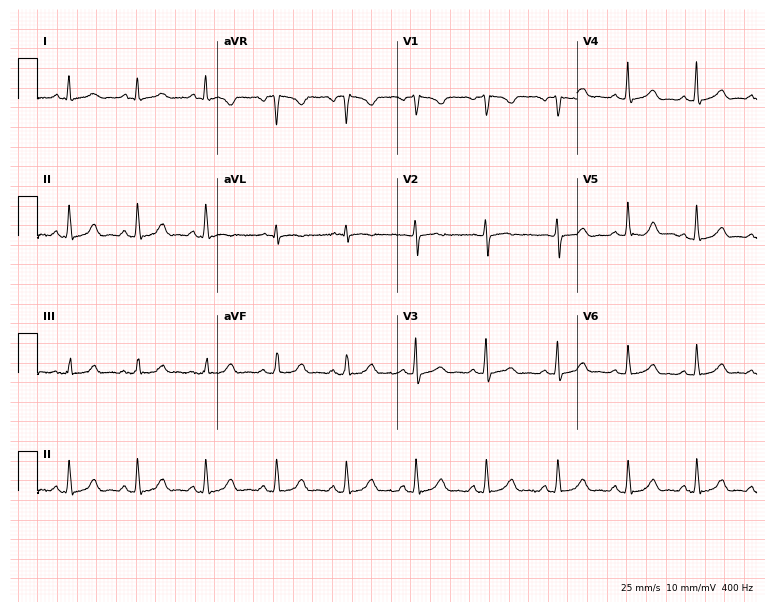
12-lead ECG (7.3-second recording at 400 Hz) from a 62-year-old woman. Labelled as a normal ECG.